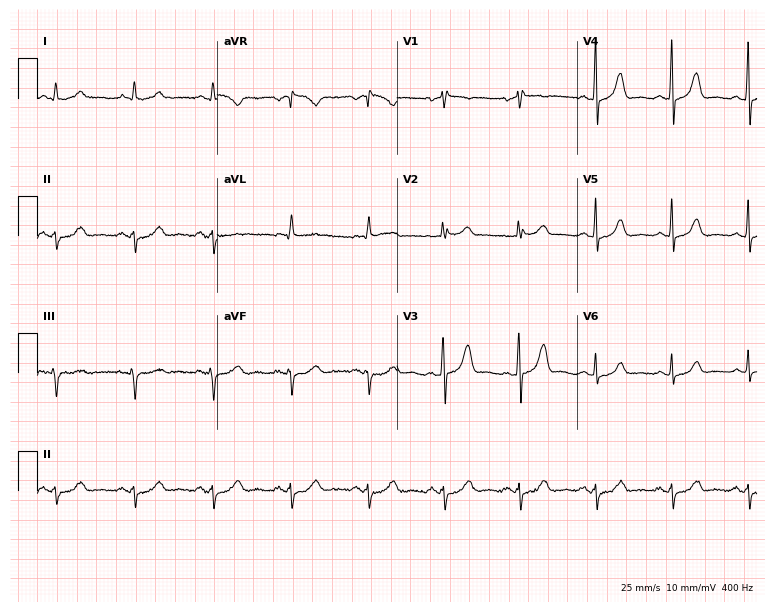
Standard 12-lead ECG recorded from a woman, 70 years old (7.3-second recording at 400 Hz). None of these six findings is recorded: first-degree AV block, right bundle branch block (RBBB), left bundle branch block (LBBB), sinus bradycardia, atrial fibrillation (AF), sinus tachycardia. Only these six findings were labelled.